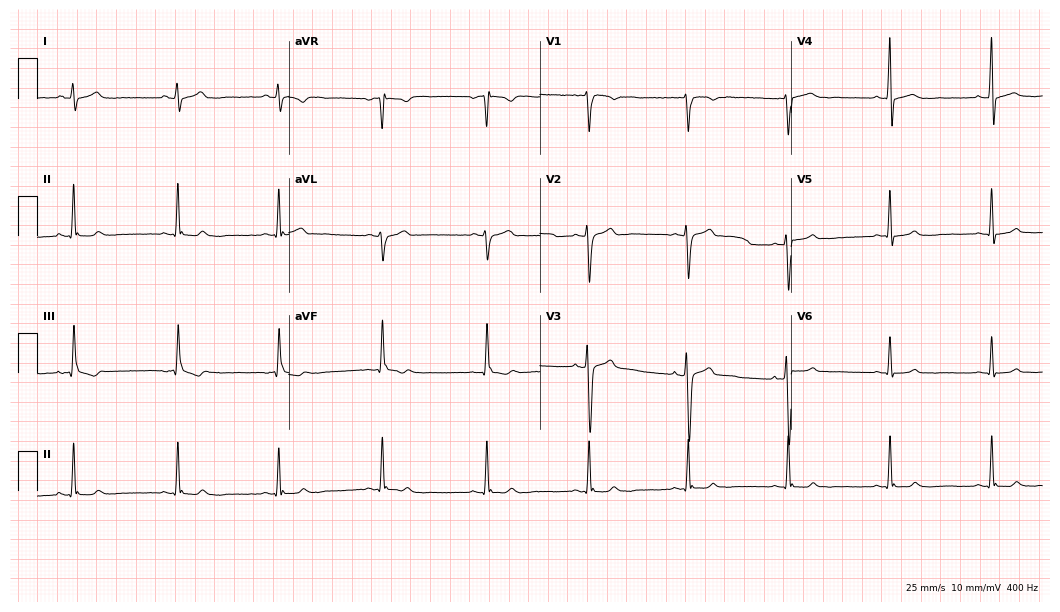
Standard 12-lead ECG recorded from a male patient, 24 years old. Read as a normal ECG.